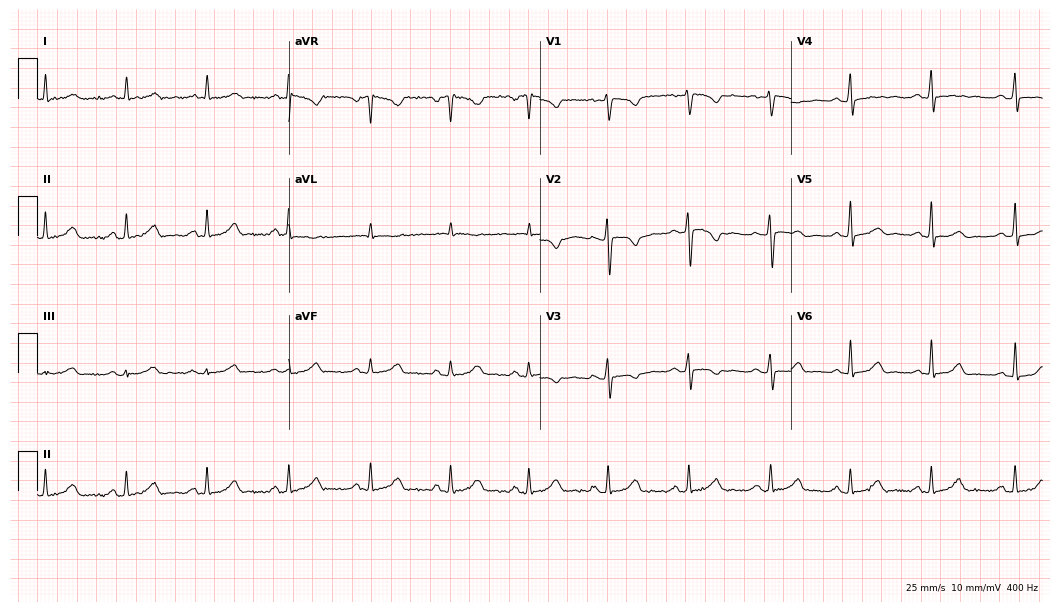
12-lead ECG from a 51-year-old female patient (10.2-second recording at 400 Hz). Recorded interpretation: within normal limits.